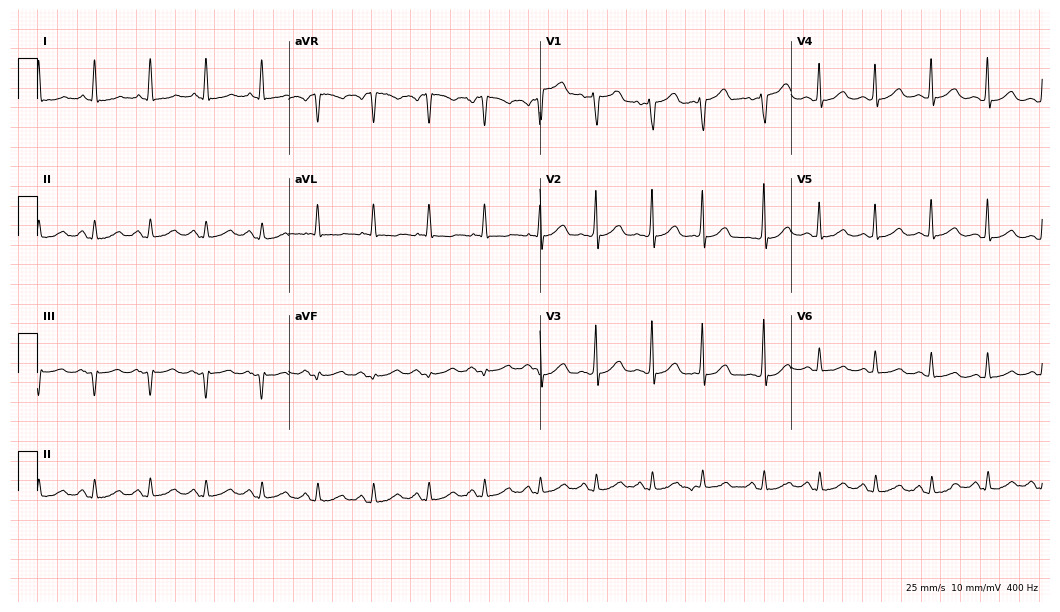
Resting 12-lead electrocardiogram (10.2-second recording at 400 Hz). Patient: a 61-year-old woman. The tracing shows sinus tachycardia (a sinus rate of 100 beats per minute or more).